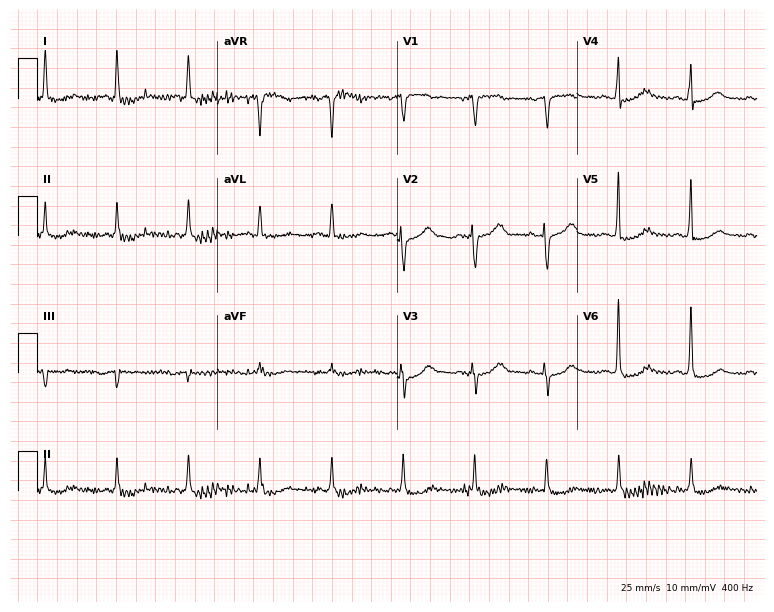
12-lead ECG from a 78-year-old female patient. Recorded interpretation: within normal limits.